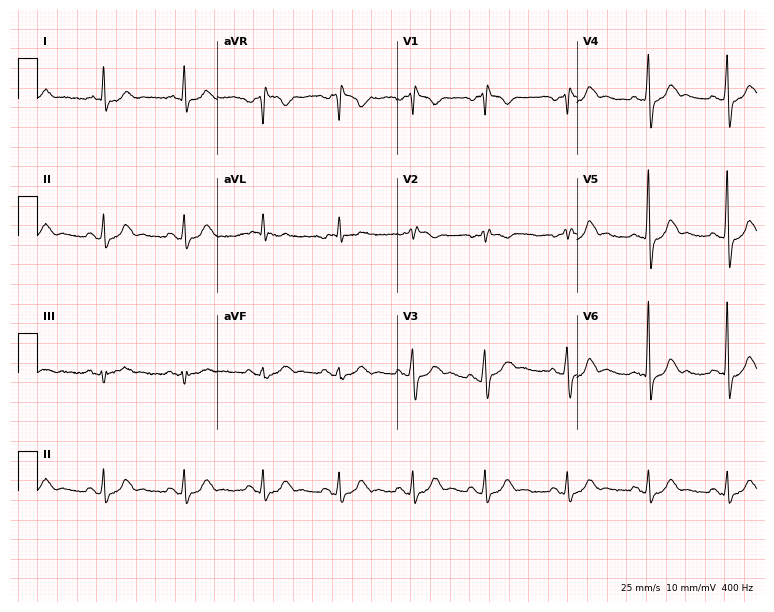
Resting 12-lead electrocardiogram (7.3-second recording at 400 Hz). Patient: a 59-year-old male. None of these six findings is recorded: first-degree AV block, right bundle branch block, left bundle branch block, sinus bradycardia, atrial fibrillation, sinus tachycardia. Other findings, if any, are not listed.